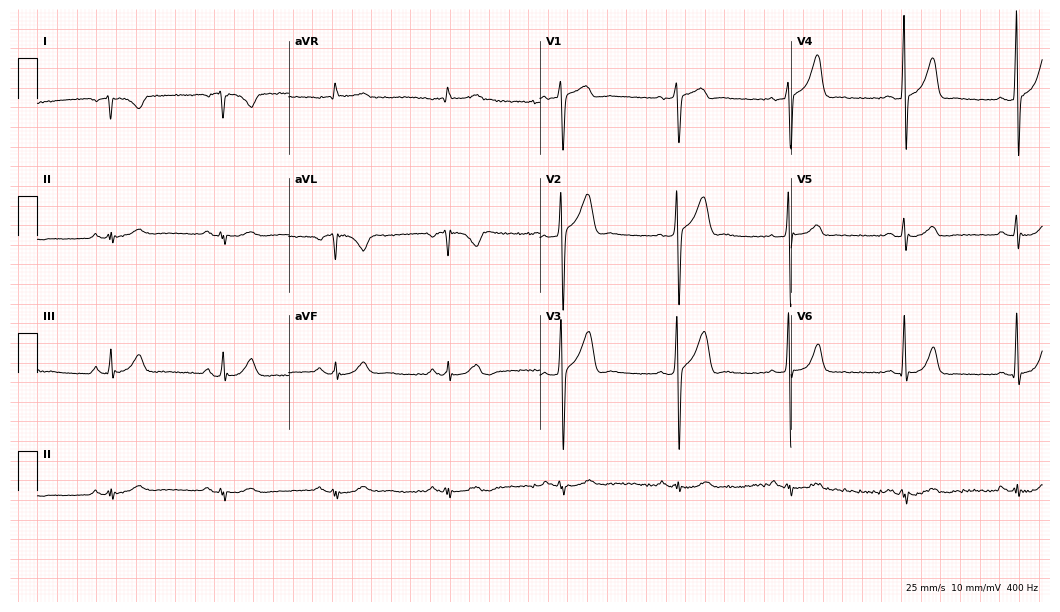
ECG (10.2-second recording at 400 Hz) — a man, 72 years old. Screened for six findings — first-degree AV block, right bundle branch block, left bundle branch block, sinus bradycardia, atrial fibrillation, sinus tachycardia — none is recorded.